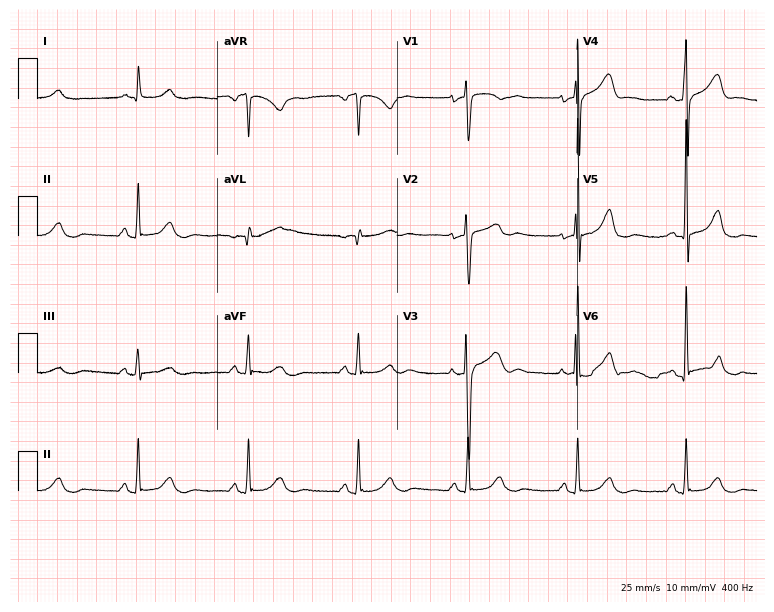
Resting 12-lead electrocardiogram (7.3-second recording at 400 Hz). Patient: a 59-year-old female. None of these six findings is recorded: first-degree AV block, right bundle branch block (RBBB), left bundle branch block (LBBB), sinus bradycardia, atrial fibrillation (AF), sinus tachycardia.